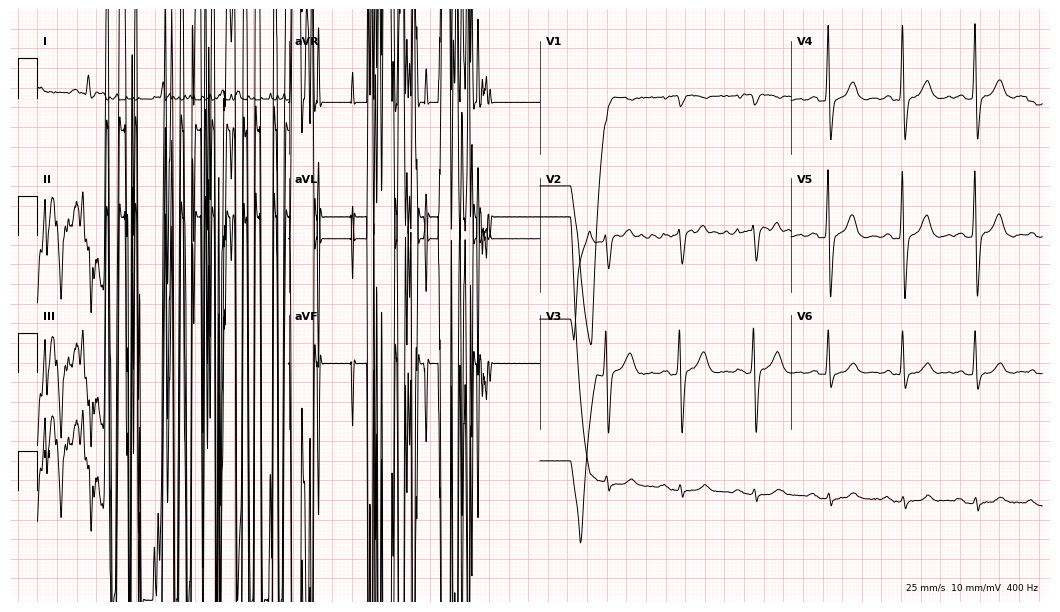
12-lead ECG from a 72-year-old male (10.2-second recording at 400 Hz). No first-degree AV block, right bundle branch block (RBBB), left bundle branch block (LBBB), sinus bradycardia, atrial fibrillation (AF) or sinus tachycardia recorded for this tracing. Only these six findings were labelled.